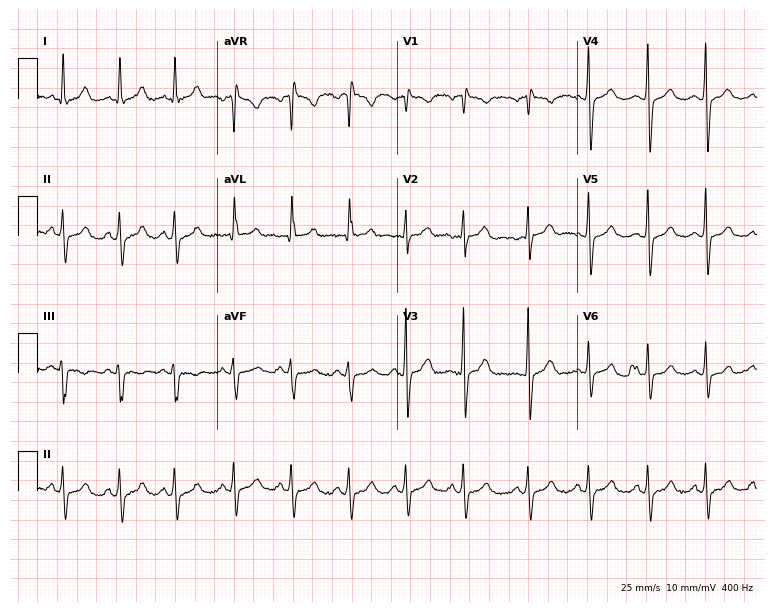
12-lead ECG from a 22-year-old female. No first-degree AV block, right bundle branch block (RBBB), left bundle branch block (LBBB), sinus bradycardia, atrial fibrillation (AF) or sinus tachycardia recorded for this tracing.